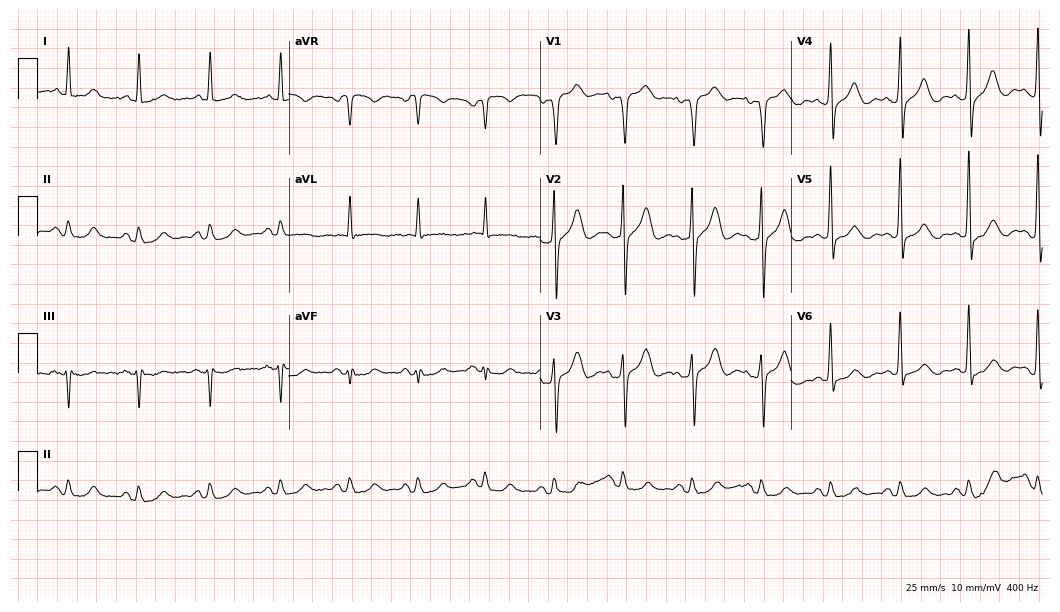
Electrocardiogram, a 79-year-old male patient. Overall reading on record: normal ECG.